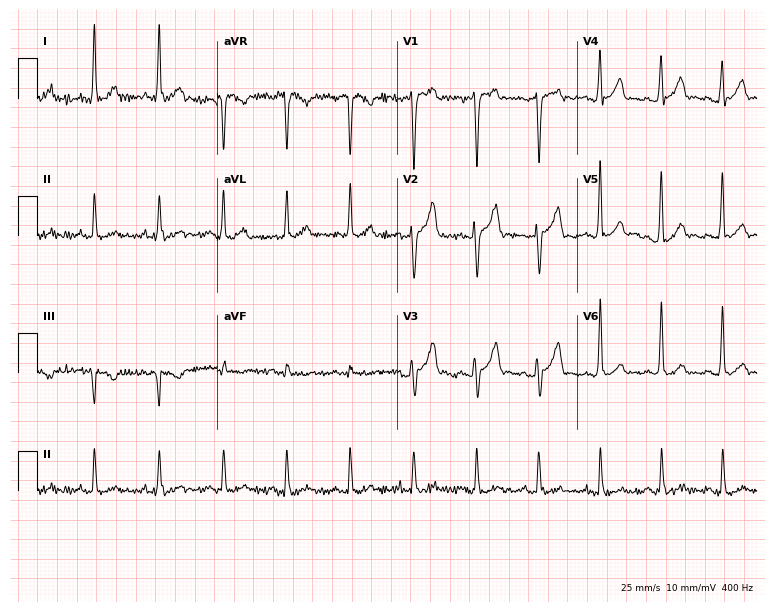
Electrocardiogram, a 38-year-old man. Of the six screened findings (first-degree AV block, right bundle branch block (RBBB), left bundle branch block (LBBB), sinus bradycardia, atrial fibrillation (AF), sinus tachycardia), none is recorded.